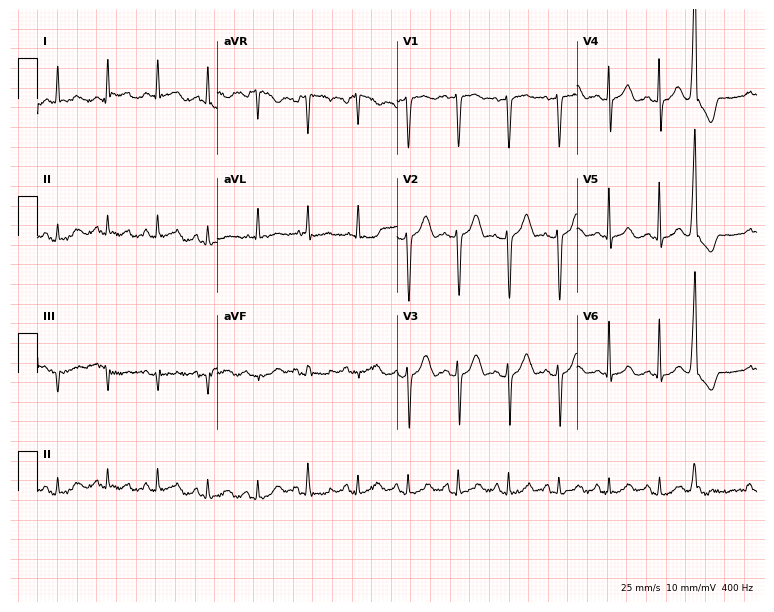
ECG (7.3-second recording at 400 Hz) — a 78-year-old female patient. Findings include sinus tachycardia (a sinus rate of 100 beats per minute or more).